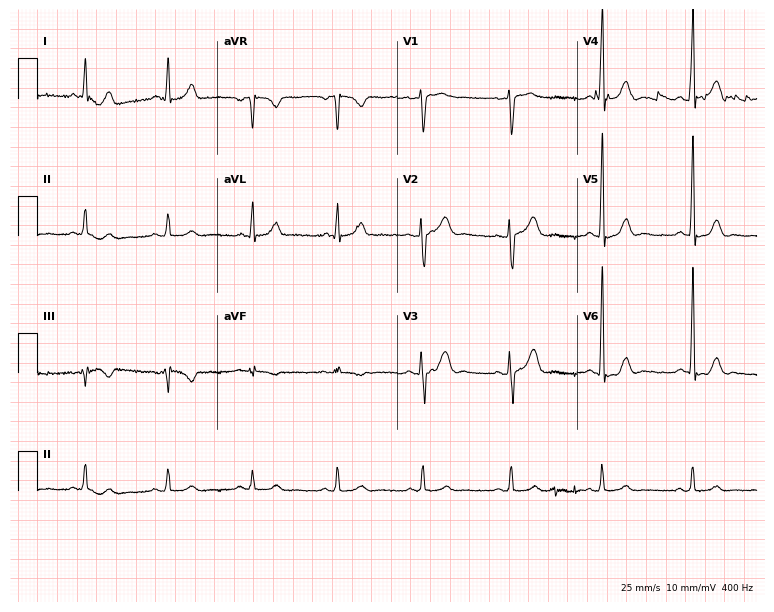
Resting 12-lead electrocardiogram. Patient: a female, 43 years old. None of these six findings is recorded: first-degree AV block, right bundle branch block (RBBB), left bundle branch block (LBBB), sinus bradycardia, atrial fibrillation (AF), sinus tachycardia. Other findings, if any, are not listed.